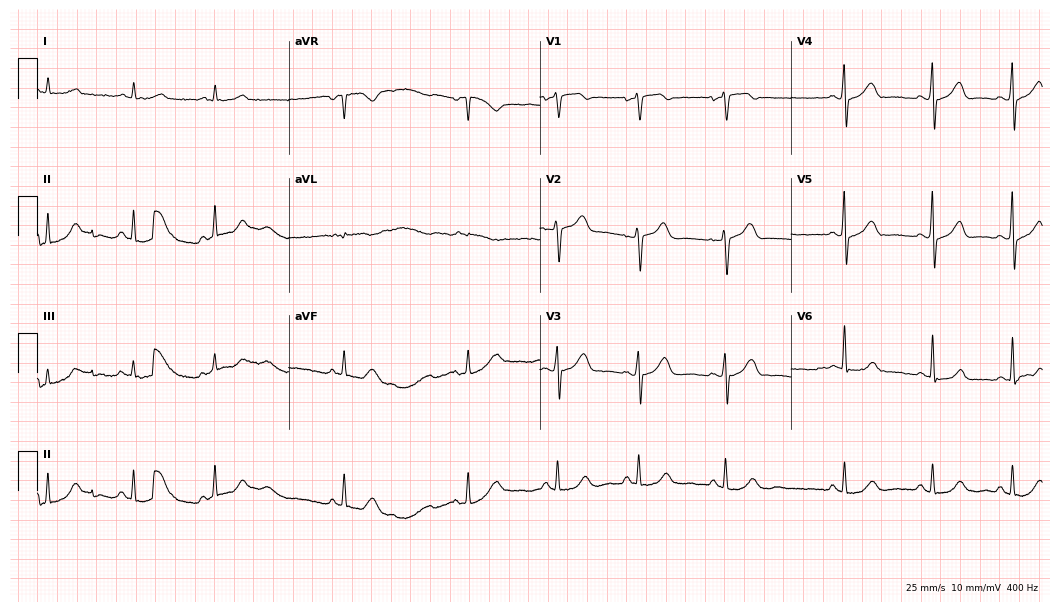
ECG — a female patient, 60 years old. Labelled as a normal ECG.